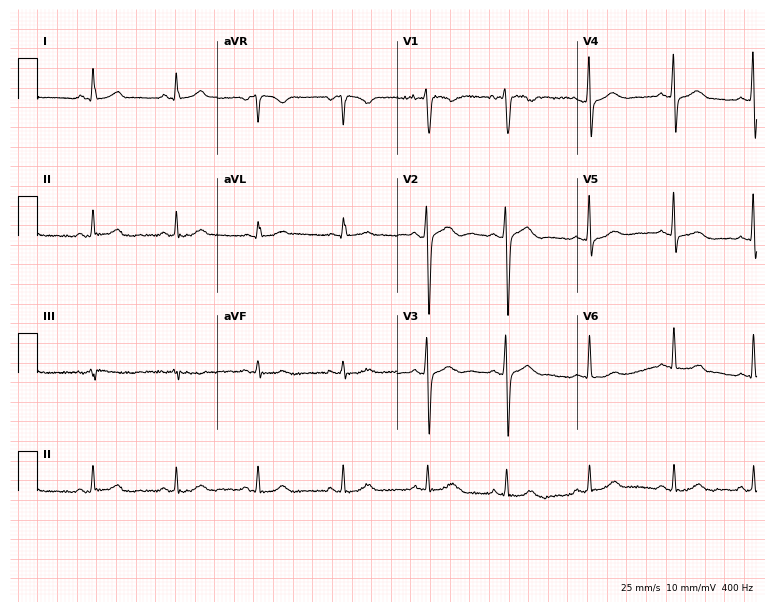
12-lead ECG from a man, 26 years old (7.3-second recording at 400 Hz). No first-degree AV block, right bundle branch block (RBBB), left bundle branch block (LBBB), sinus bradycardia, atrial fibrillation (AF) or sinus tachycardia recorded for this tracing.